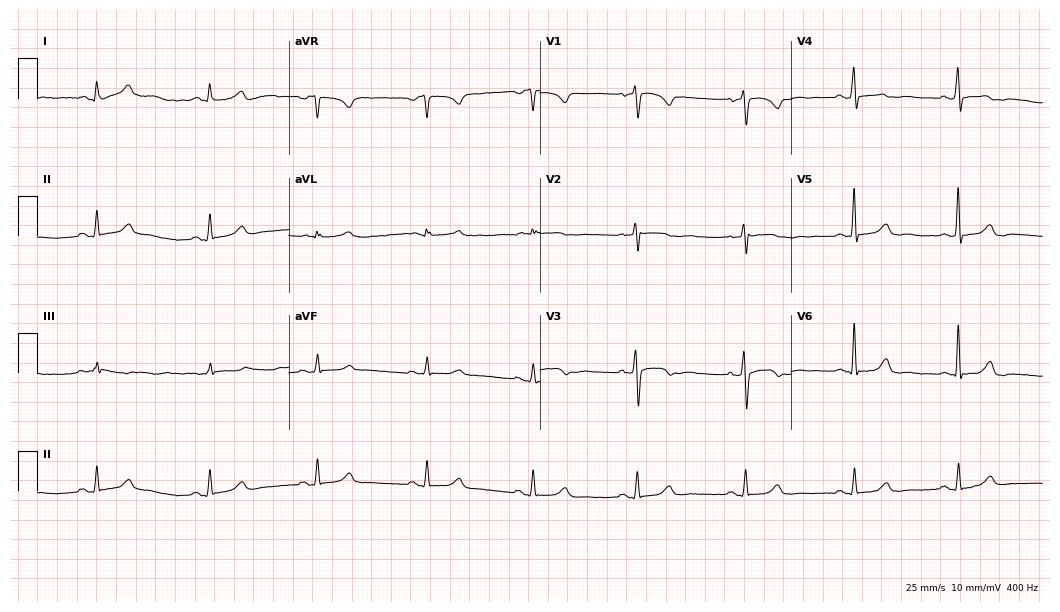
Standard 12-lead ECG recorded from a 51-year-old female. None of these six findings is recorded: first-degree AV block, right bundle branch block, left bundle branch block, sinus bradycardia, atrial fibrillation, sinus tachycardia.